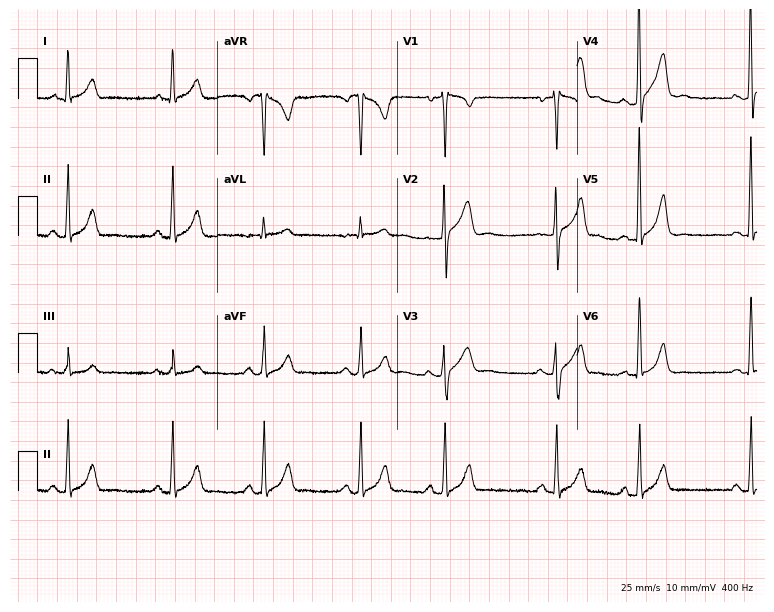
12-lead ECG from a 19-year-old male patient. Screened for six findings — first-degree AV block, right bundle branch block, left bundle branch block, sinus bradycardia, atrial fibrillation, sinus tachycardia — none is recorded.